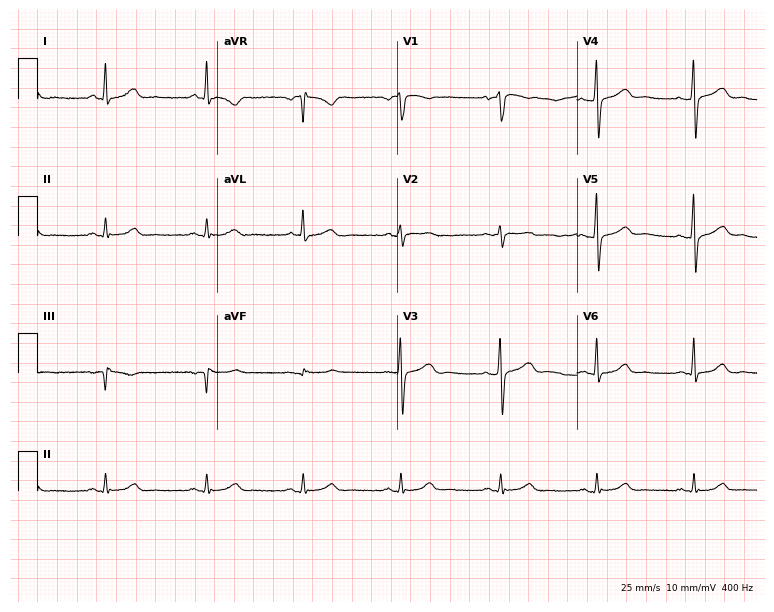
Standard 12-lead ECG recorded from a 55-year-old man. Read as a normal ECG.